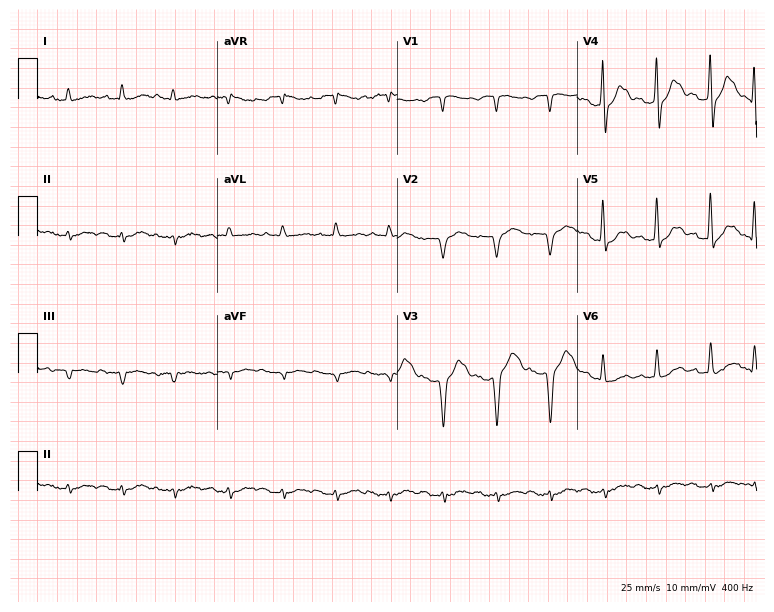
Standard 12-lead ECG recorded from a man, 83 years old. None of these six findings is recorded: first-degree AV block, right bundle branch block, left bundle branch block, sinus bradycardia, atrial fibrillation, sinus tachycardia.